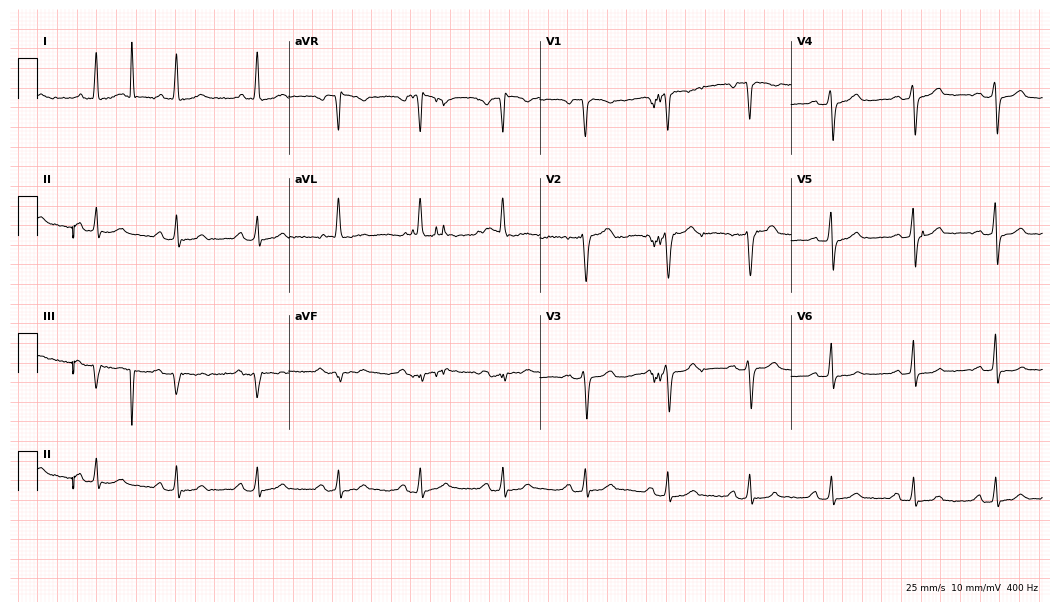
Standard 12-lead ECG recorded from a 75-year-old female patient. None of these six findings is recorded: first-degree AV block, right bundle branch block (RBBB), left bundle branch block (LBBB), sinus bradycardia, atrial fibrillation (AF), sinus tachycardia.